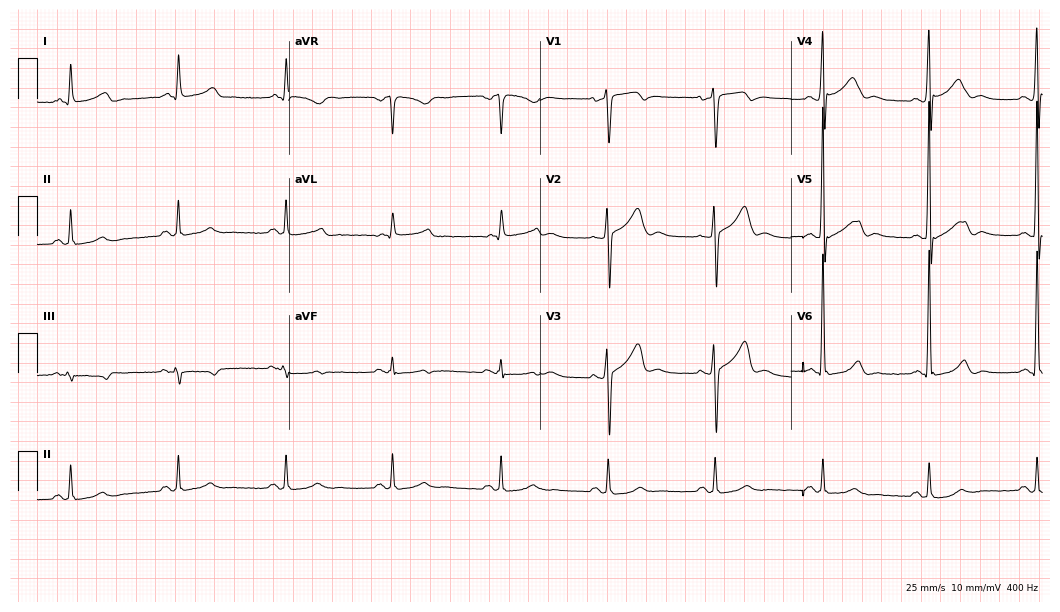
Resting 12-lead electrocardiogram (10.2-second recording at 400 Hz). Patient: a 58-year-old man. None of these six findings is recorded: first-degree AV block, right bundle branch block, left bundle branch block, sinus bradycardia, atrial fibrillation, sinus tachycardia. Only these six findings were labelled.